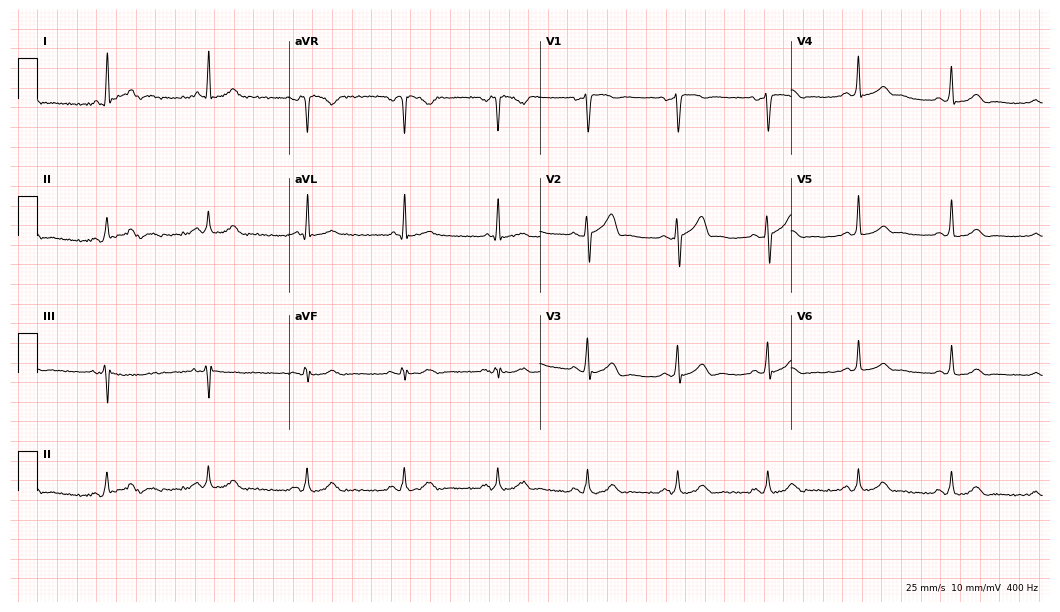
Standard 12-lead ECG recorded from a 46-year-old female patient. Read as a normal ECG.